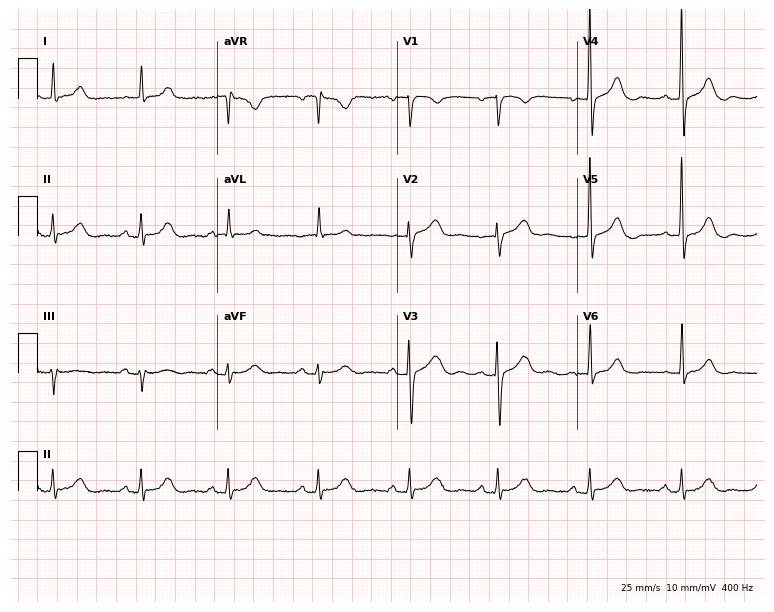
12-lead ECG (7.3-second recording at 400 Hz) from a female, 75 years old. Screened for six findings — first-degree AV block, right bundle branch block, left bundle branch block, sinus bradycardia, atrial fibrillation, sinus tachycardia — none is recorded. Only these six findings were labelled.